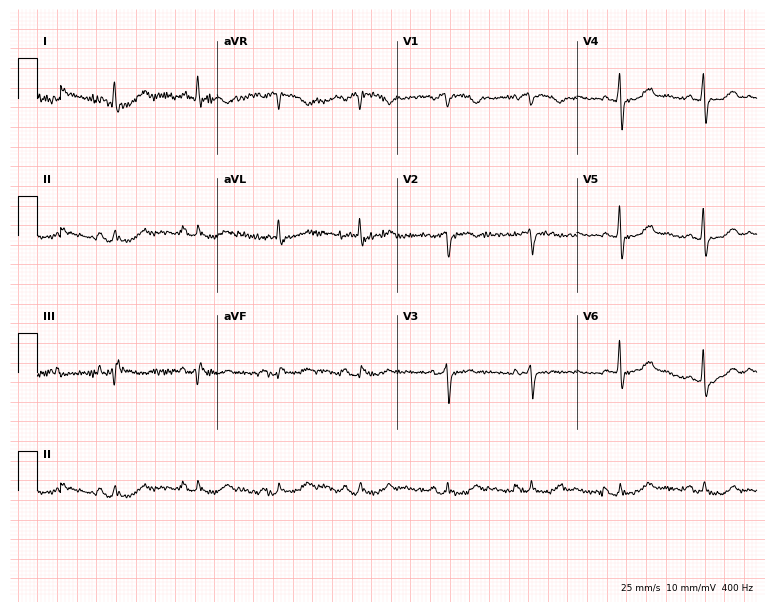
12-lead ECG (7.3-second recording at 400 Hz) from a woman, 83 years old. Screened for six findings — first-degree AV block, right bundle branch block (RBBB), left bundle branch block (LBBB), sinus bradycardia, atrial fibrillation (AF), sinus tachycardia — none is recorded. Only these six findings were labelled.